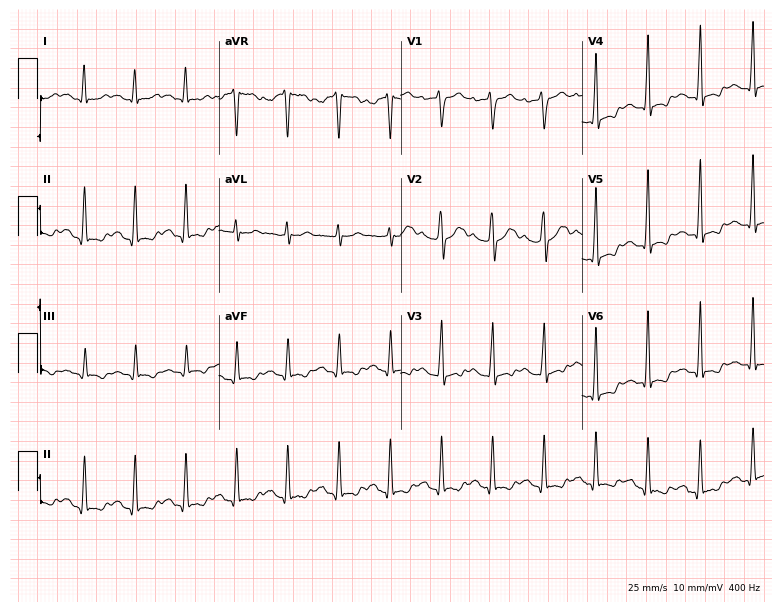
Electrocardiogram, a man, 24 years old. Of the six screened findings (first-degree AV block, right bundle branch block (RBBB), left bundle branch block (LBBB), sinus bradycardia, atrial fibrillation (AF), sinus tachycardia), none is recorded. Findings outside these six are not listed.